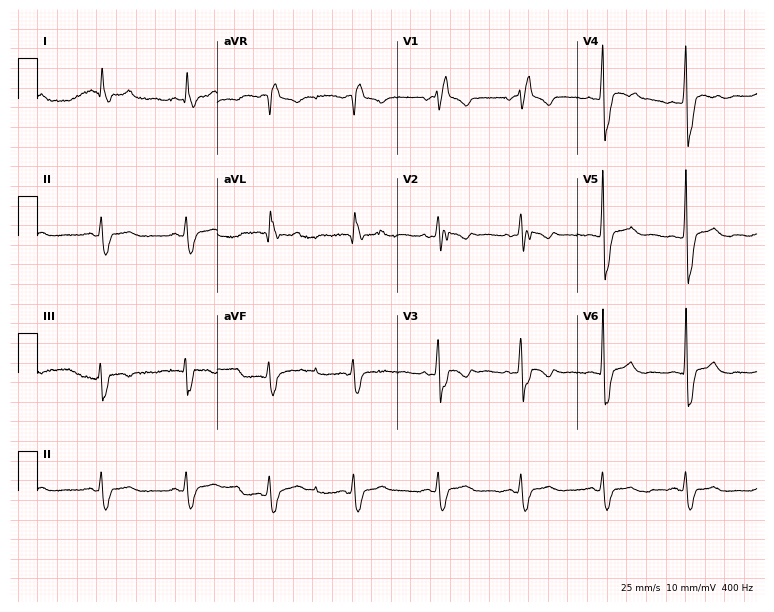
ECG (7.3-second recording at 400 Hz) — a male, 57 years old. Findings include right bundle branch block.